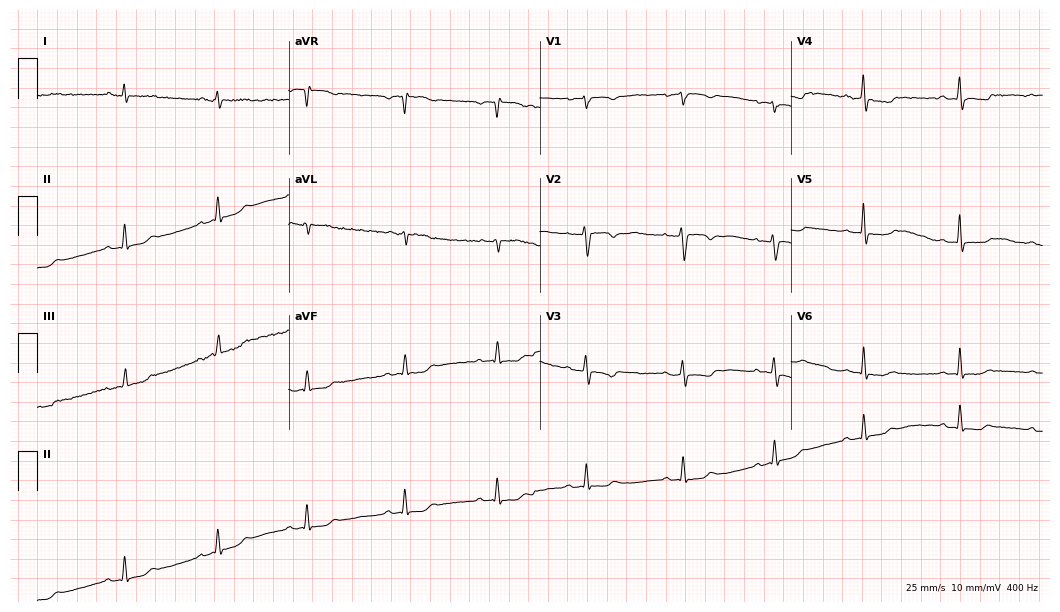
ECG (10.2-second recording at 400 Hz) — a female patient, 47 years old. Screened for six findings — first-degree AV block, right bundle branch block, left bundle branch block, sinus bradycardia, atrial fibrillation, sinus tachycardia — none is recorded. Other findings, if any, are not listed.